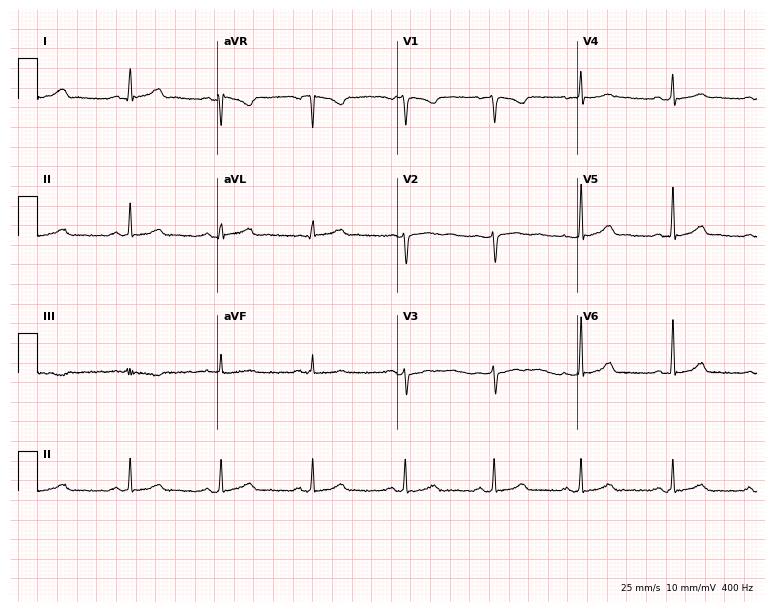
12-lead ECG from a 31-year-old woman. Recorded interpretation: within normal limits.